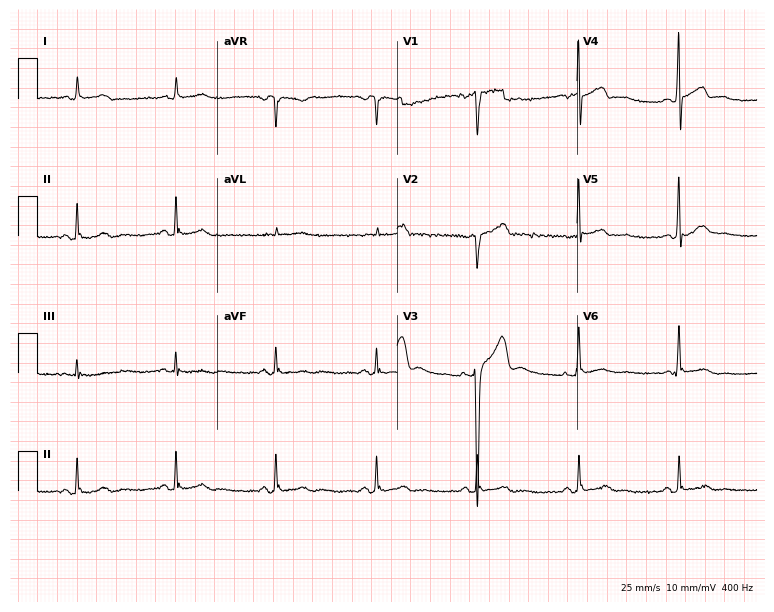
Resting 12-lead electrocardiogram (7.3-second recording at 400 Hz). Patient: a 51-year-old male. Read as a normal ECG.